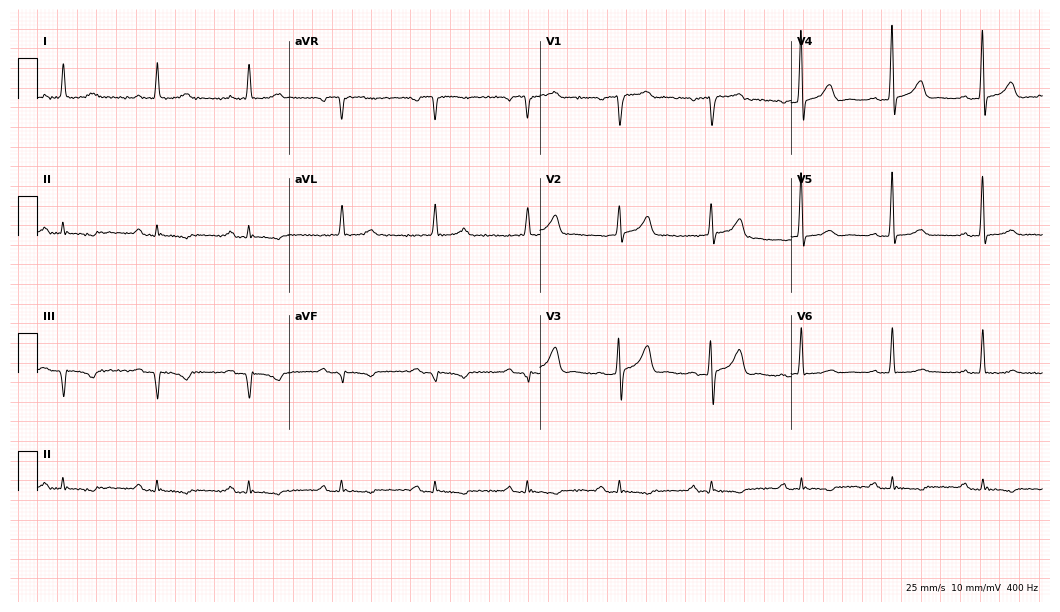
Resting 12-lead electrocardiogram. Patient: a 79-year-old man. None of these six findings is recorded: first-degree AV block, right bundle branch block, left bundle branch block, sinus bradycardia, atrial fibrillation, sinus tachycardia.